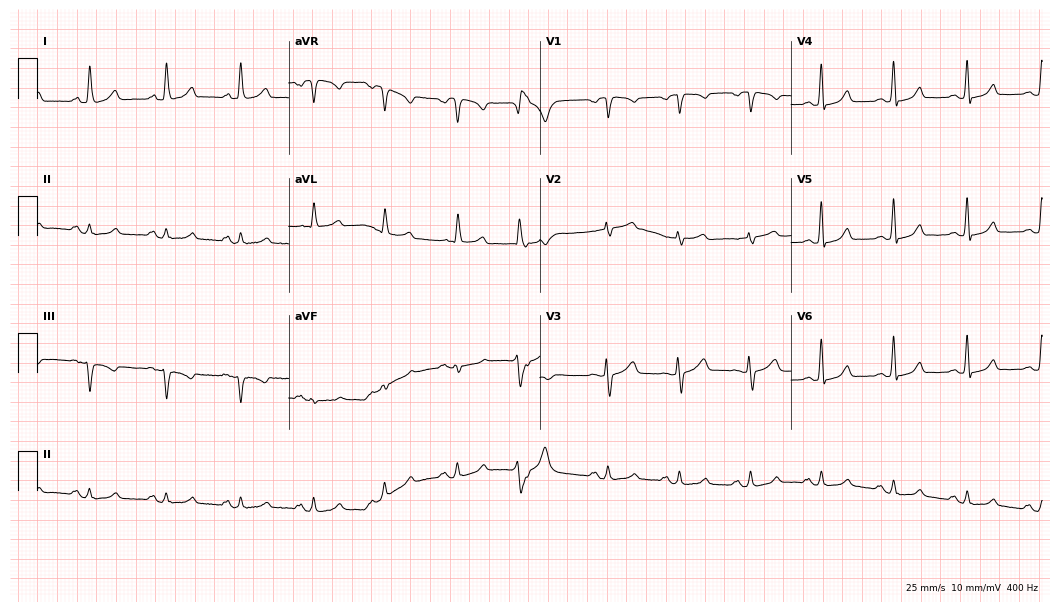
Electrocardiogram, a 62-year-old female. Overall reading on record: normal ECG.